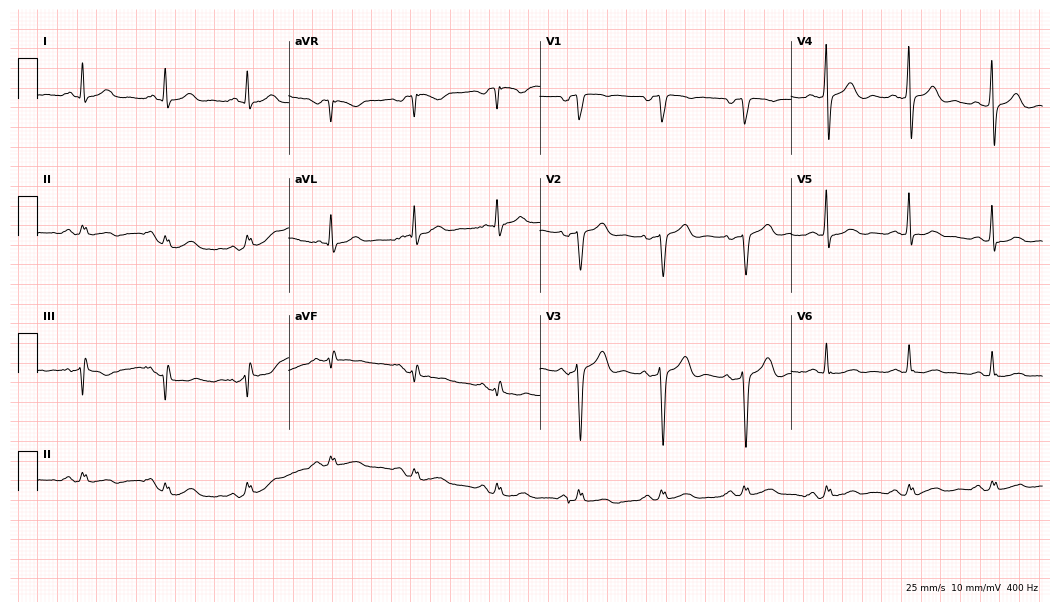
ECG (10.2-second recording at 400 Hz) — a 56-year-old male. Screened for six findings — first-degree AV block, right bundle branch block (RBBB), left bundle branch block (LBBB), sinus bradycardia, atrial fibrillation (AF), sinus tachycardia — none is recorded.